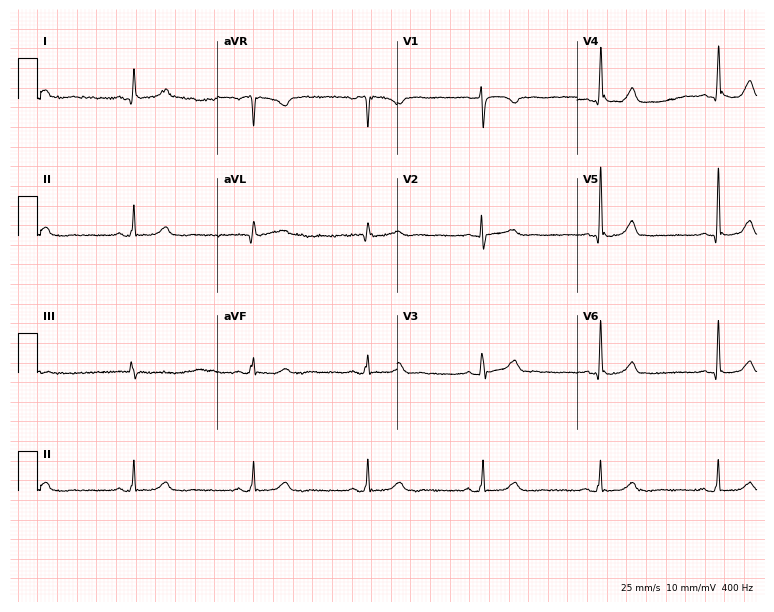
Resting 12-lead electrocardiogram (7.3-second recording at 400 Hz). Patient: a 60-year-old female. The tracing shows sinus bradycardia (a sinus rate of 50 beats per minute or less).